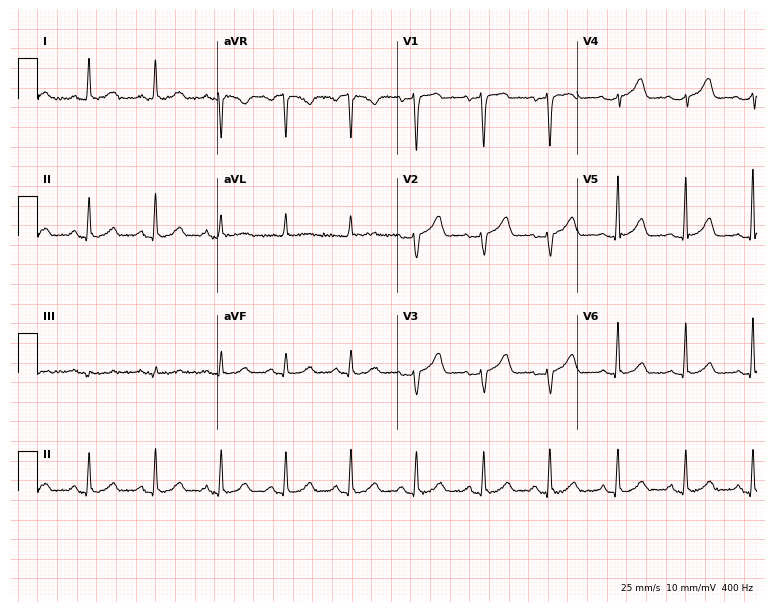
12-lead ECG from a woman, 47 years old (7.3-second recording at 400 Hz). No first-degree AV block, right bundle branch block (RBBB), left bundle branch block (LBBB), sinus bradycardia, atrial fibrillation (AF) or sinus tachycardia recorded for this tracing. Only these six findings were labelled.